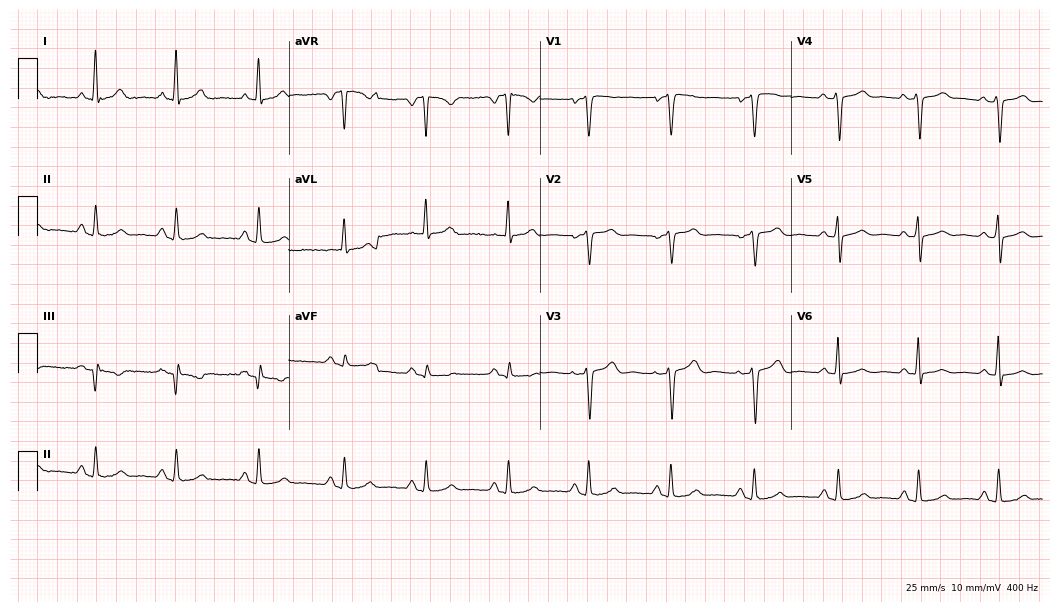
Resting 12-lead electrocardiogram. Patient: a 49-year-old female. Read as a normal ECG.